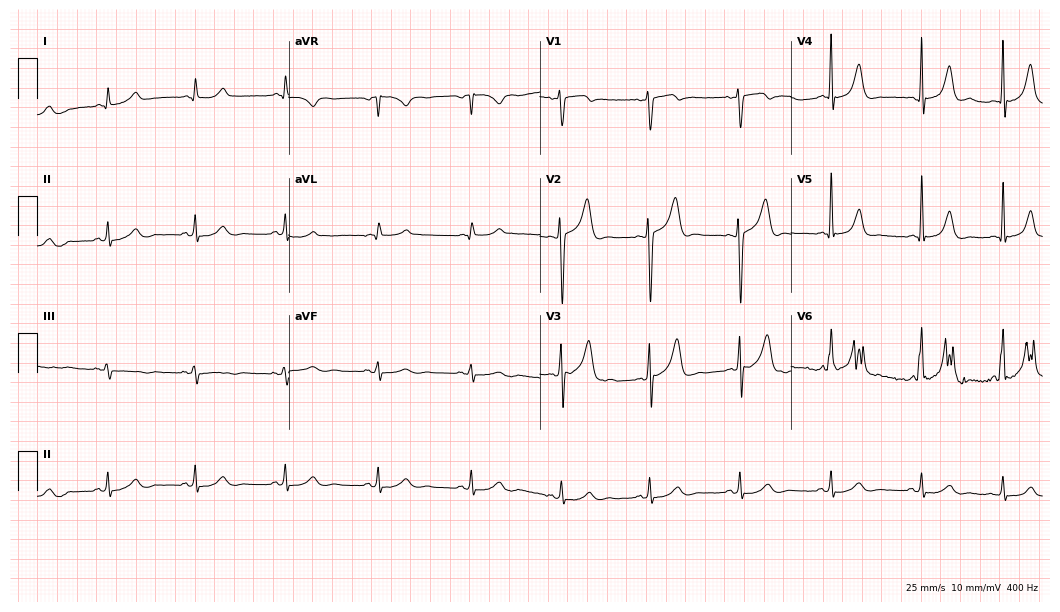
12-lead ECG (10.2-second recording at 400 Hz) from a 60-year-old man. Labelled as a normal ECG.